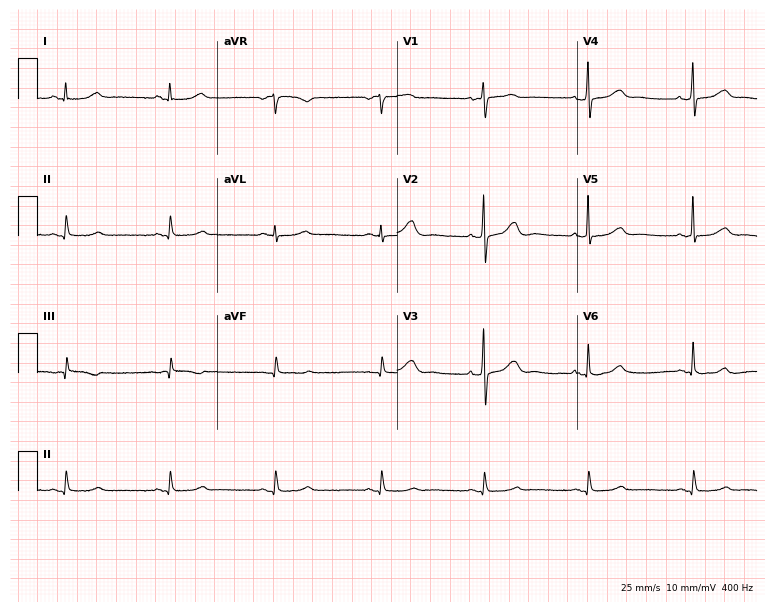
Resting 12-lead electrocardiogram (7.3-second recording at 400 Hz). Patient: an 83-year-old man. None of these six findings is recorded: first-degree AV block, right bundle branch block, left bundle branch block, sinus bradycardia, atrial fibrillation, sinus tachycardia.